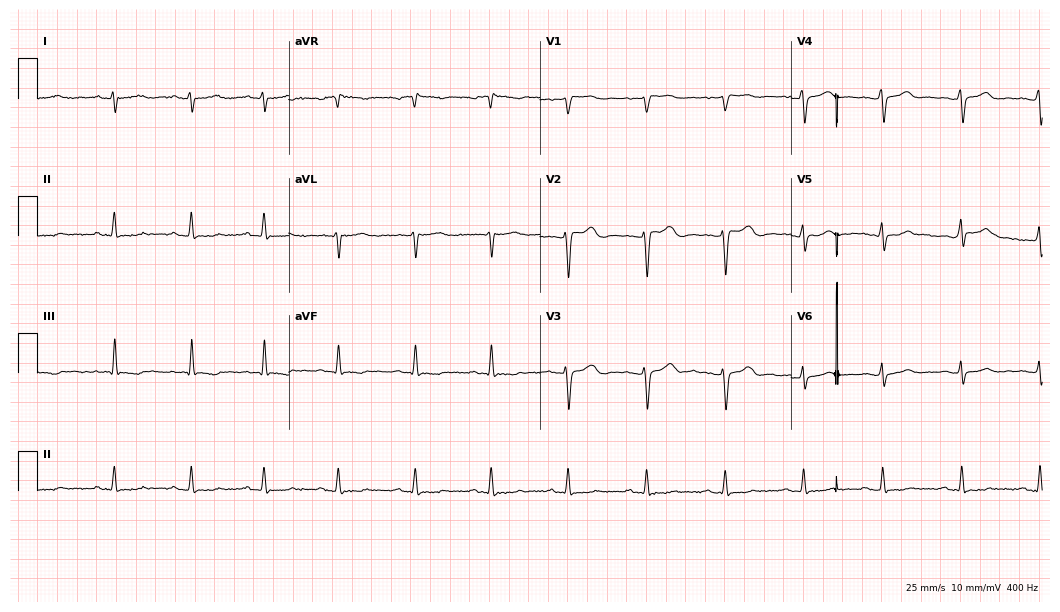
12-lead ECG from a woman, 18 years old. Screened for six findings — first-degree AV block, right bundle branch block, left bundle branch block, sinus bradycardia, atrial fibrillation, sinus tachycardia — none is recorded. Other findings, if any, are not listed.